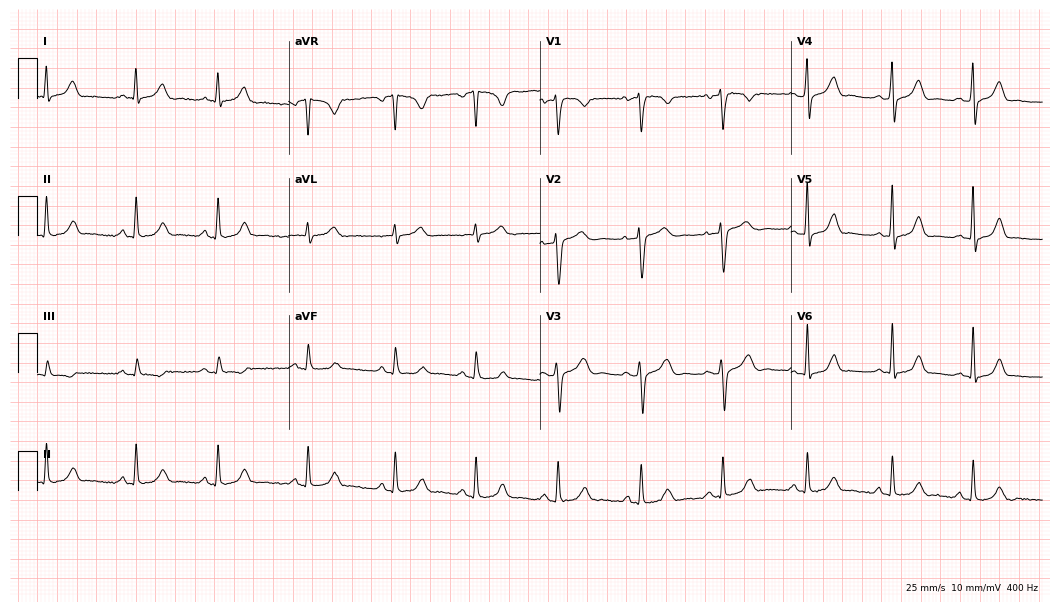
Resting 12-lead electrocardiogram (10.2-second recording at 400 Hz). Patient: a woman, 29 years old. None of these six findings is recorded: first-degree AV block, right bundle branch block (RBBB), left bundle branch block (LBBB), sinus bradycardia, atrial fibrillation (AF), sinus tachycardia. Only these six findings were labelled.